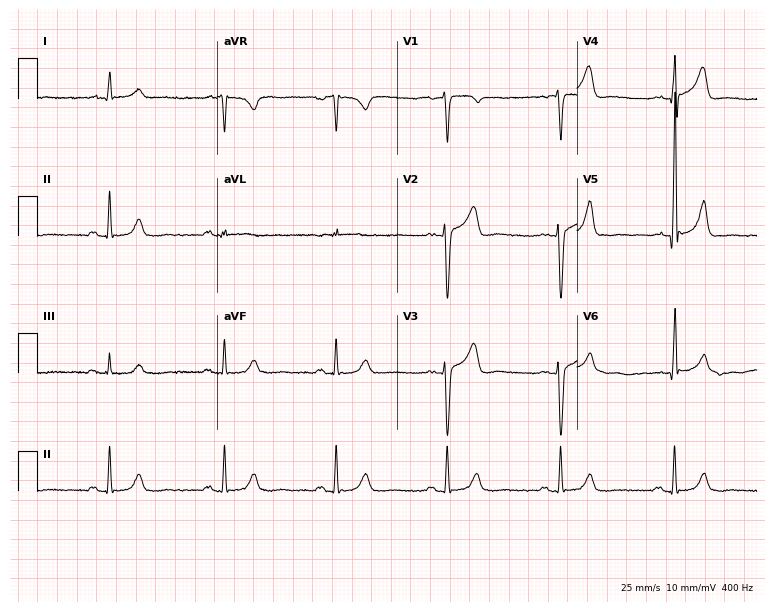
ECG — a male, 73 years old. Labelled as a normal ECG.